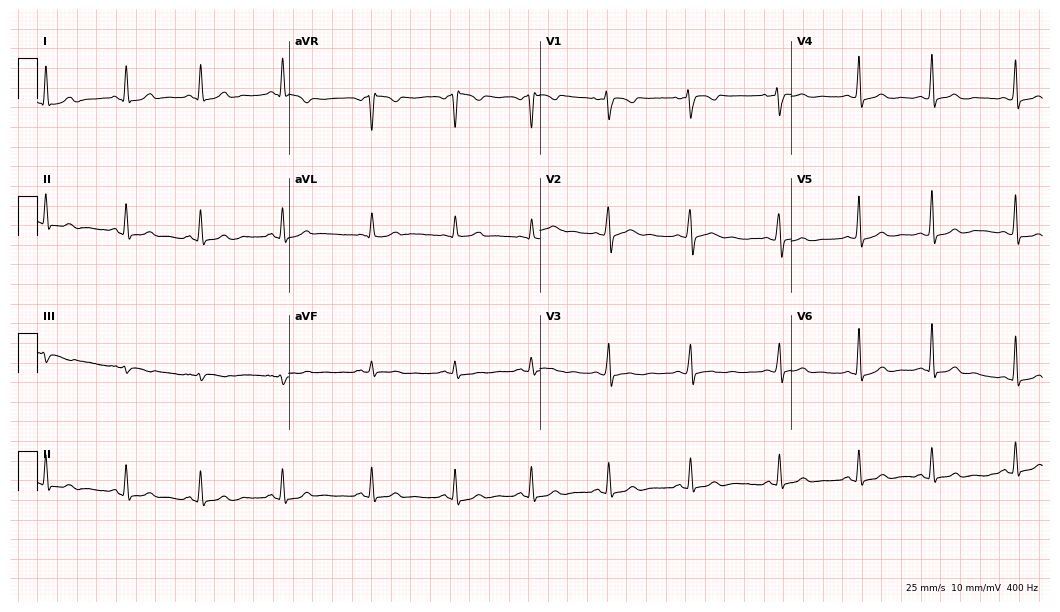
12-lead ECG from a 32-year-old woman (10.2-second recording at 400 Hz). Recorded interpretation: within normal limits.